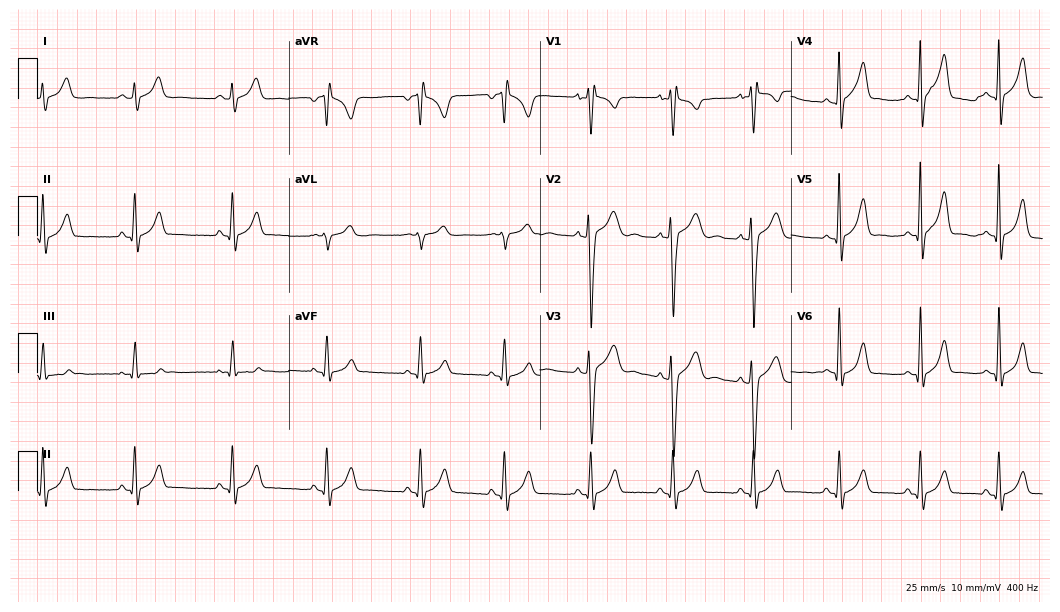
Resting 12-lead electrocardiogram. Patient: a 19-year-old male. None of these six findings is recorded: first-degree AV block, right bundle branch block (RBBB), left bundle branch block (LBBB), sinus bradycardia, atrial fibrillation (AF), sinus tachycardia. Findings outside these six are not listed.